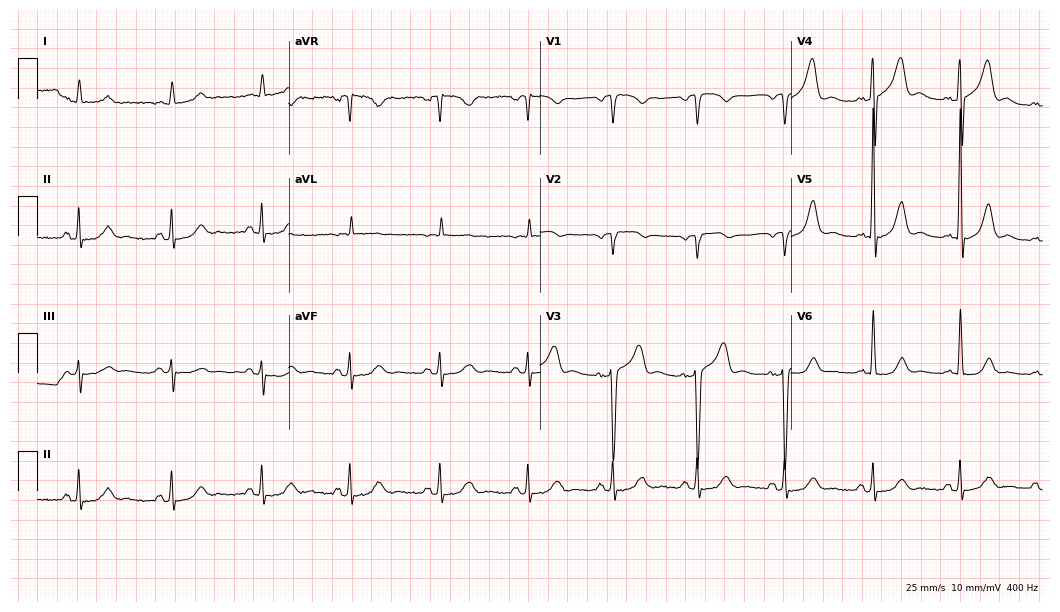
Standard 12-lead ECG recorded from a 68-year-old male patient (10.2-second recording at 400 Hz). Read as a normal ECG.